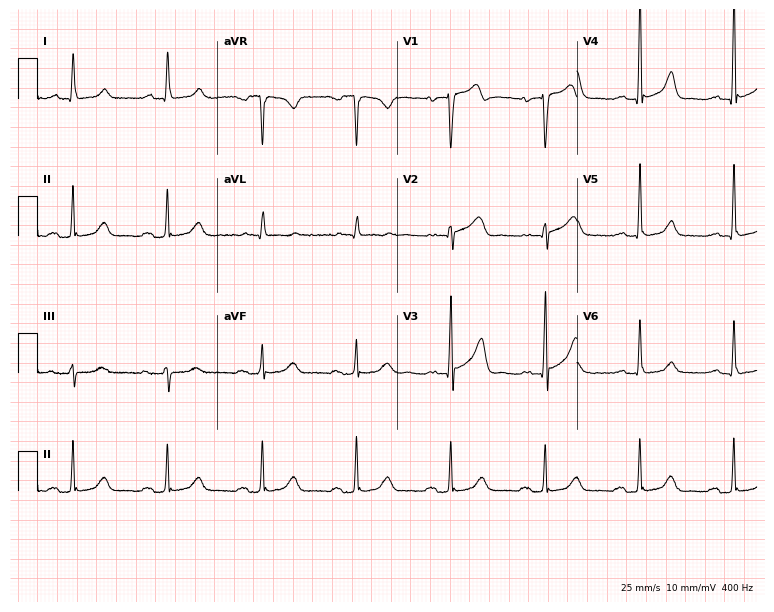
12-lead ECG from a man, 85 years old. Shows first-degree AV block.